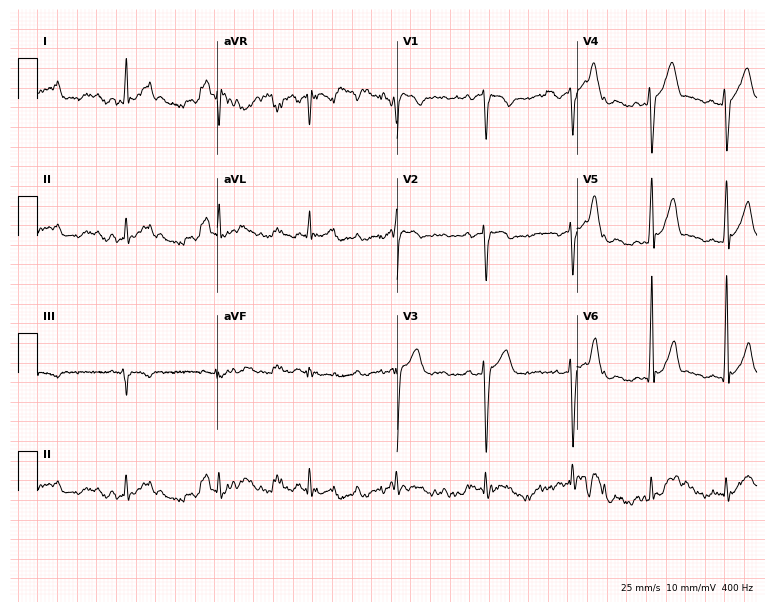
12-lead ECG from a 33-year-old male patient. Screened for six findings — first-degree AV block, right bundle branch block, left bundle branch block, sinus bradycardia, atrial fibrillation, sinus tachycardia — none is recorded. Only these six findings were labelled.